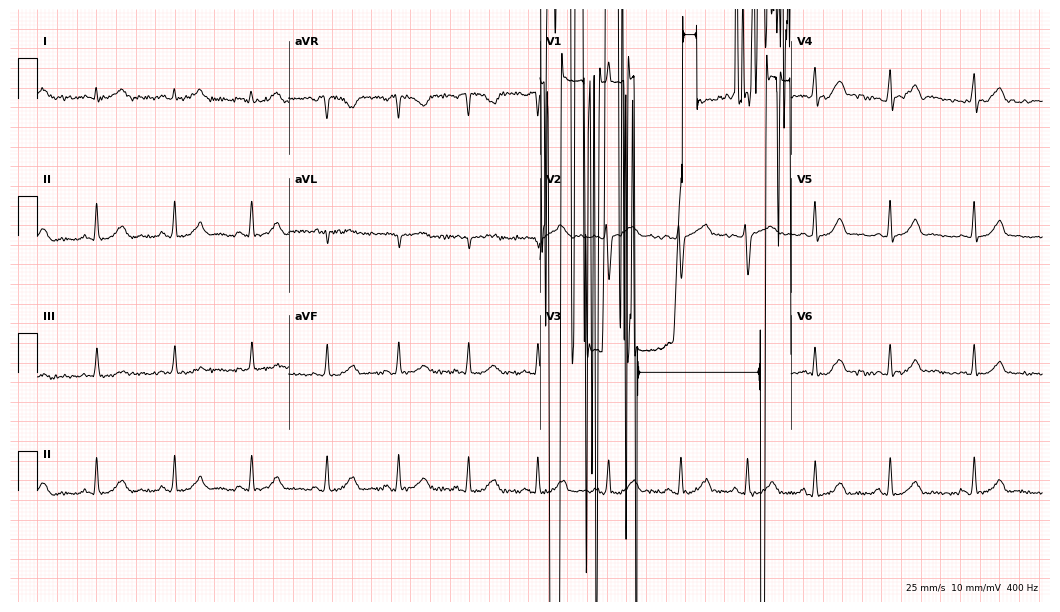
ECG (10.2-second recording at 400 Hz) — a female, 35 years old. Screened for six findings — first-degree AV block, right bundle branch block, left bundle branch block, sinus bradycardia, atrial fibrillation, sinus tachycardia — none is recorded.